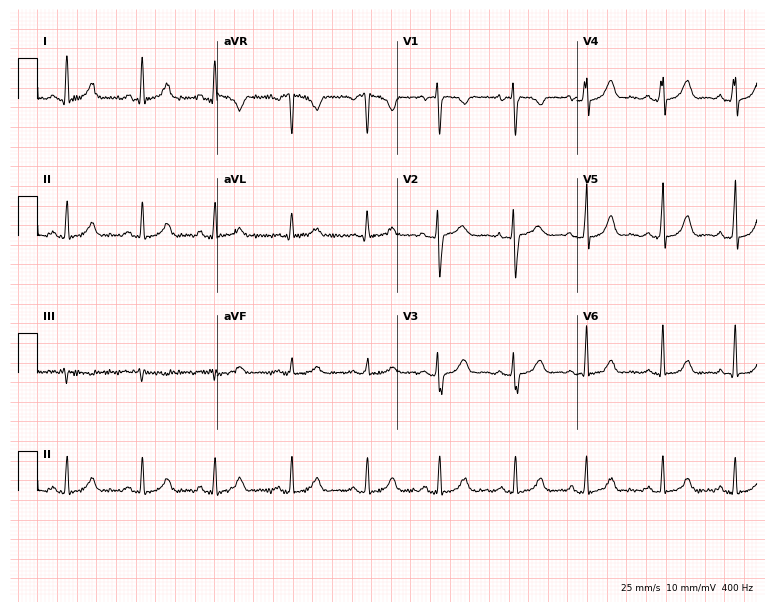
Electrocardiogram (7.3-second recording at 400 Hz), a female, 42 years old. Of the six screened findings (first-degree AV block, right bundle branch block, left bundle branch block, sinus bradycardia, atrial fibrillation, sinus tachycardia), none is recorded.